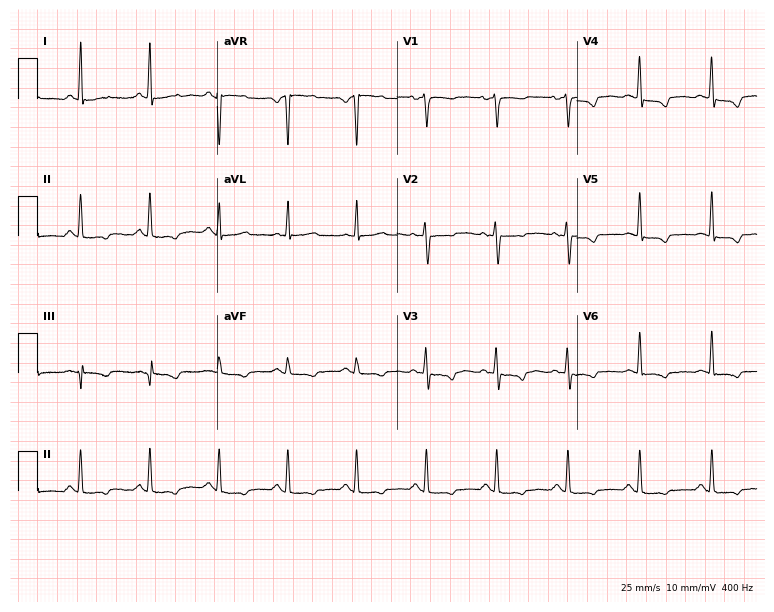
Standard 12-lead ECG recorded from a 41-year-old woman. None of these six findings is recorded: first-degree AV block, right bundle branch block, left bundle branch block, sinus bradycardia, atrial fibrillation, sinus tachycardia. Only these six findings were labelled.